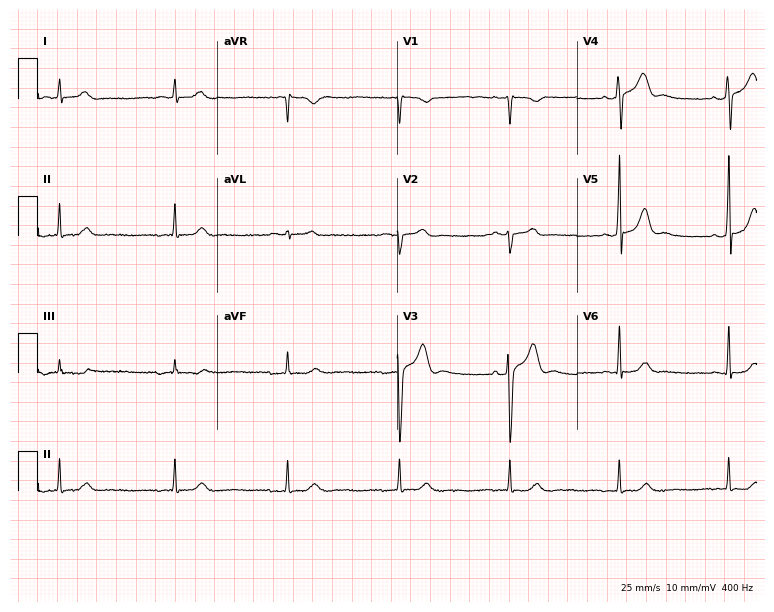
12-lead ECG from a 50-year-old man (7.3-second recording at 400 Hz). Recorded interpretation: within normal limits.